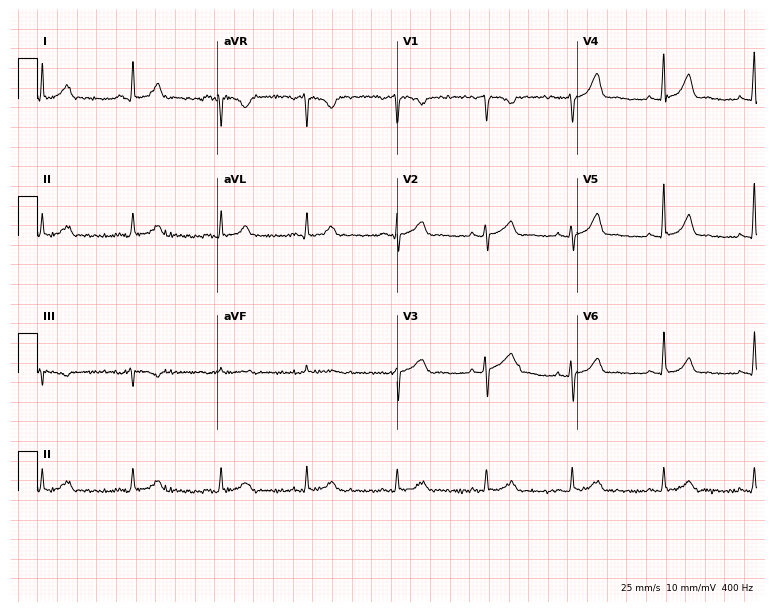
Electrocardiogram (7.3-second recording at 400 Hz), a 41-year-old female patient. Overall reading on record: normal ECG.